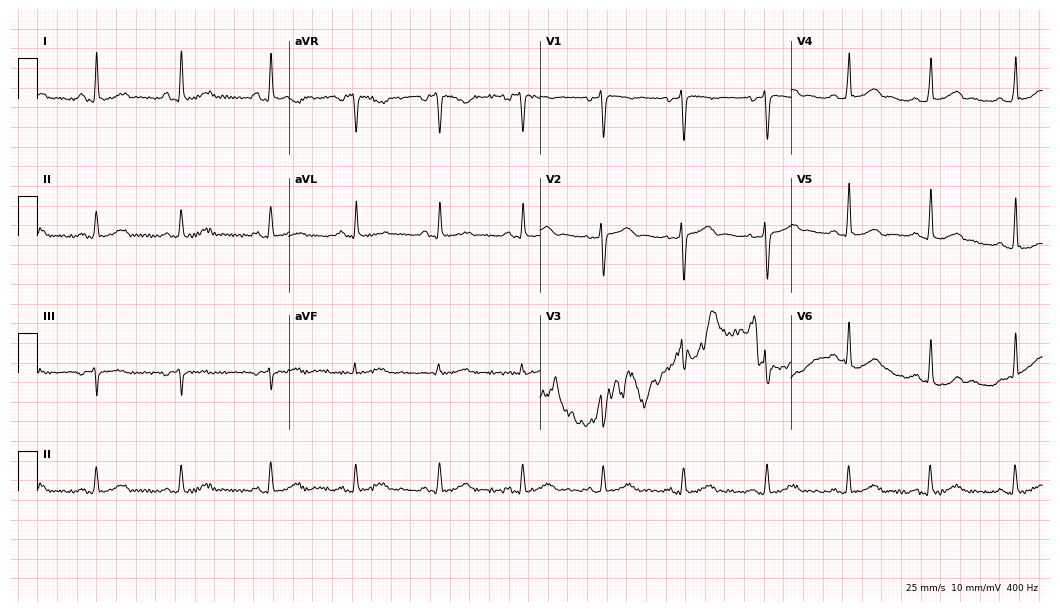
12-lead ECG from a female patient, 44 years old. No first-degree AV block, right bundle branch block, left bundle branch block, sinus bradycardia, atrial fibrillation or sinus tachycardia recorded for this tracing. Findings outside these six are not listed.